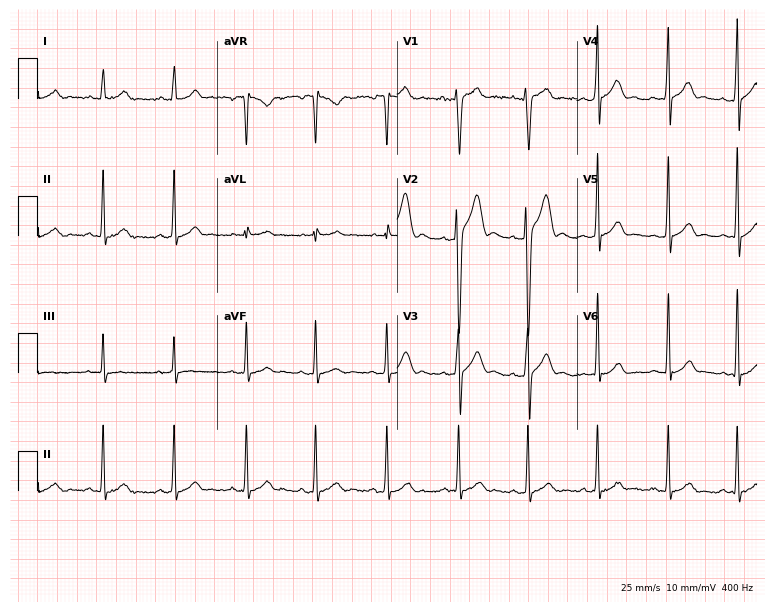
Resting 12-lead electrocardiogram. Patient: a 24-year-old male. None of these six findings is recorded: first-degree AV block, right bundle branch block, left bundle branch block, sinus bradycardia, atrial fibrillation, sinus tachycardia. Only these six findings were labelled.